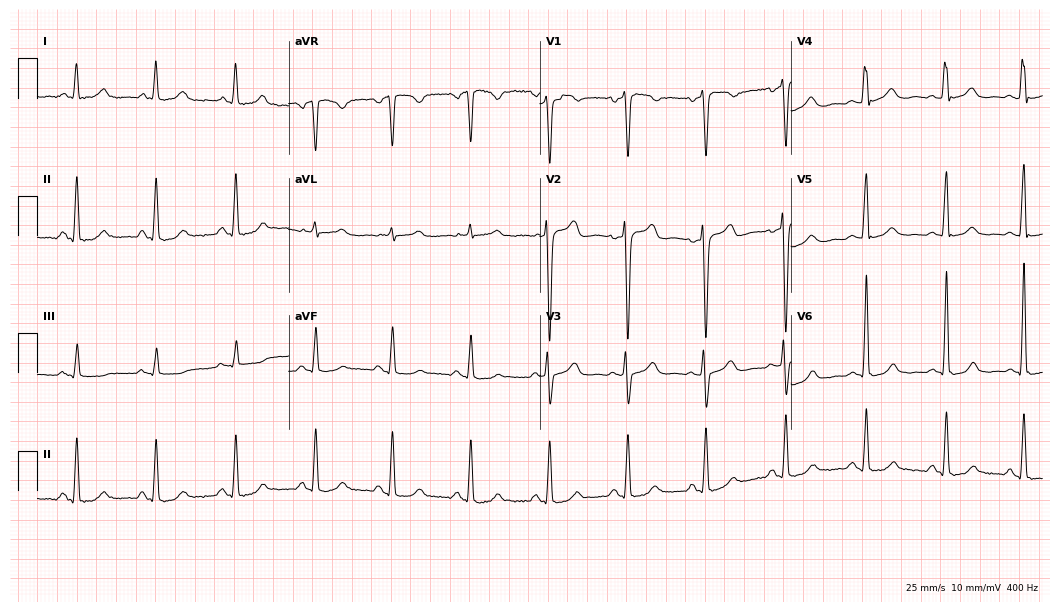
12-lead ECG from a 28-year-old female (10.2-second recording at 400 Hz). Recorded interpretation: within normal limits.